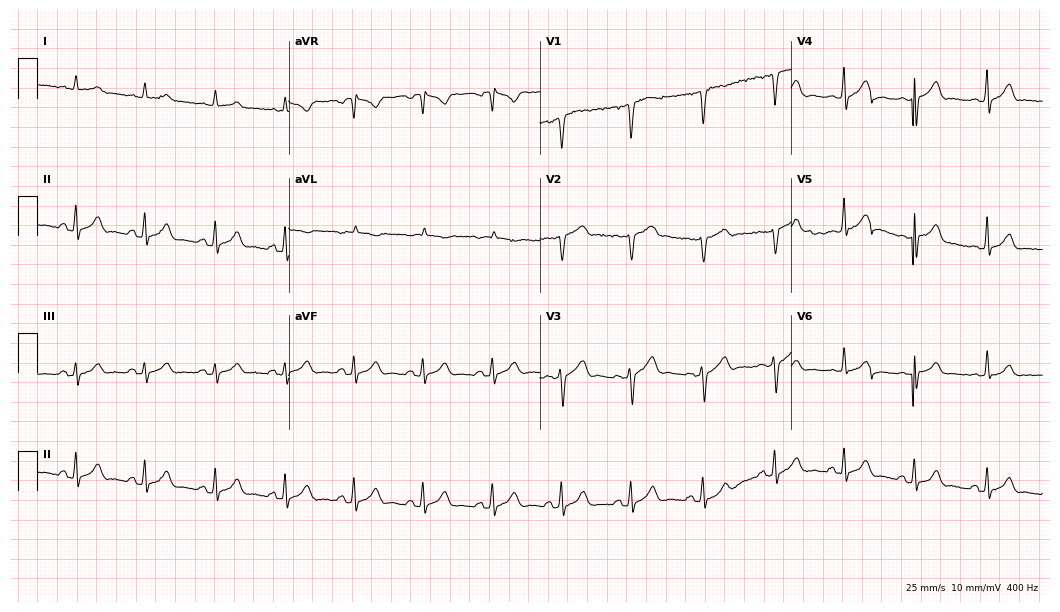
Standard 12-lead ECG recorded from a male patient, 73 years old (10.2-second recording at 400 Hz). None of these six findings is recorded: first-degree AV block, right bundle branch block, left bundle branch block, sinus bradycardia, atrial fibrillation, sinus tachycardia.